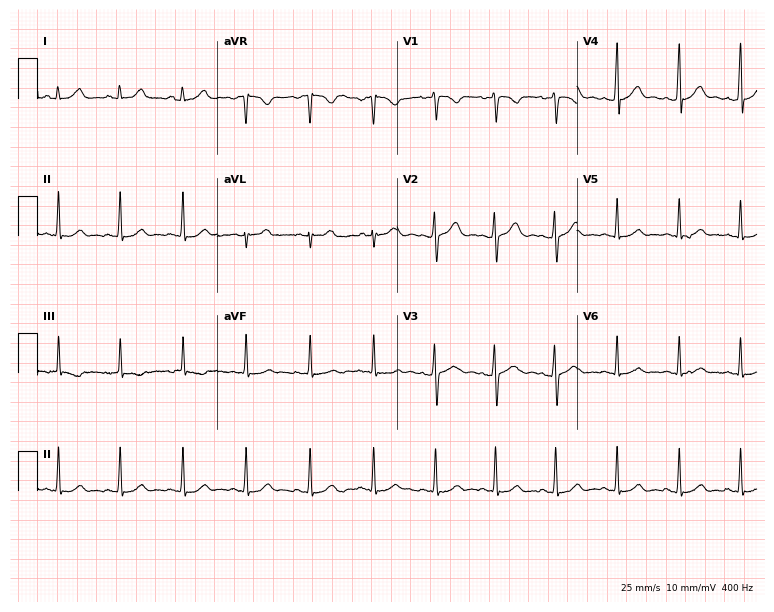
Resting 12-lead electrocardiogram. Patient: a woman, 20 years old. Read as a normal ECG.